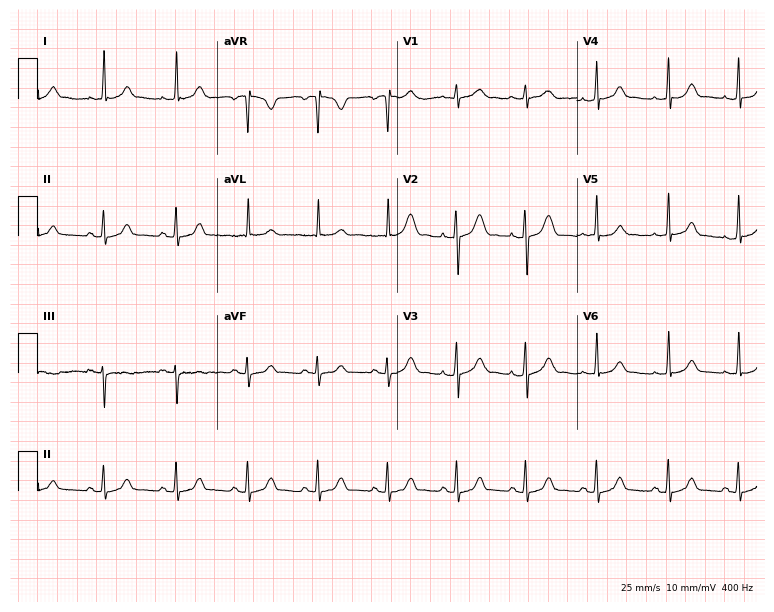
ECG (7.3-second recording at 400 Hz) — a 17-year-old woman. Labelled as a normal ECG.